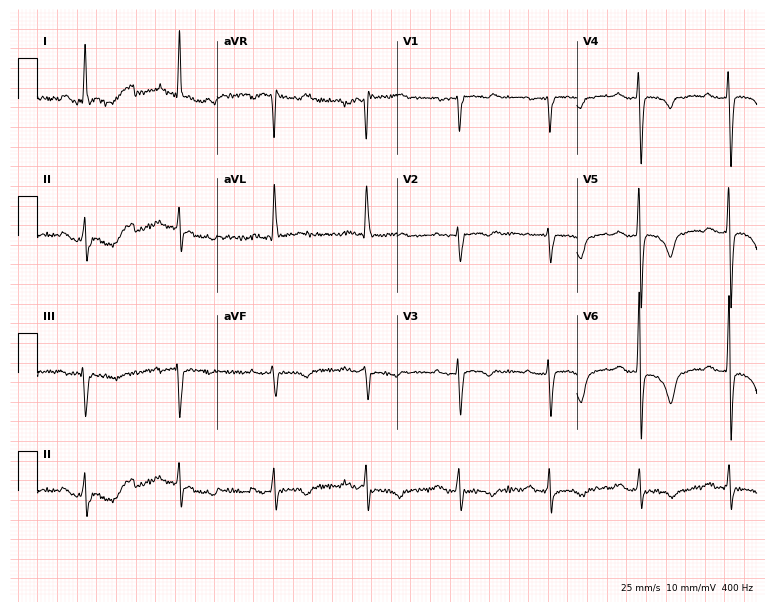
Resting 12-lead electrocardiogram. Patient: a female, 62 years old. None of these six findings is recorded: first-degree AV block, right bundle branch block, left bundle branch block, sinus bradycardia, atrial fibrillation, sinus tachycardia.